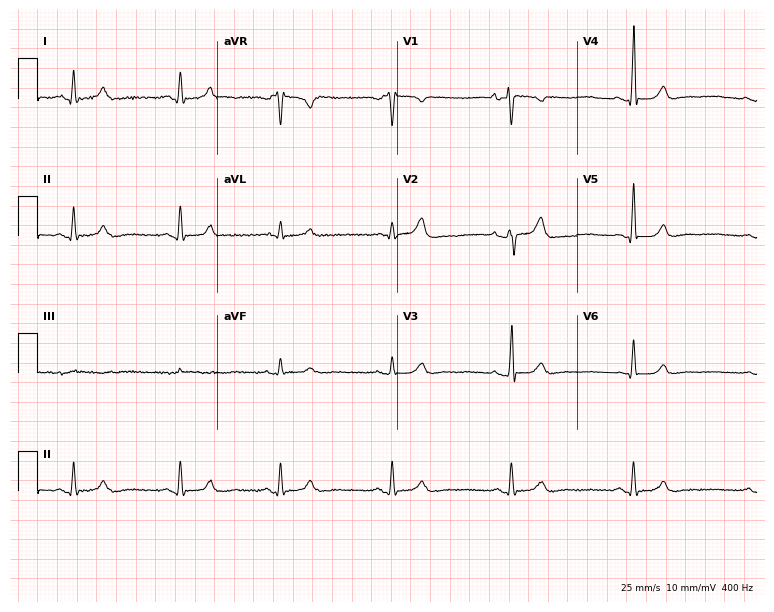
ECG (7.3-second recording at 400 Hz) — a 58-year-old male patient. Labelled as a normal ECG.